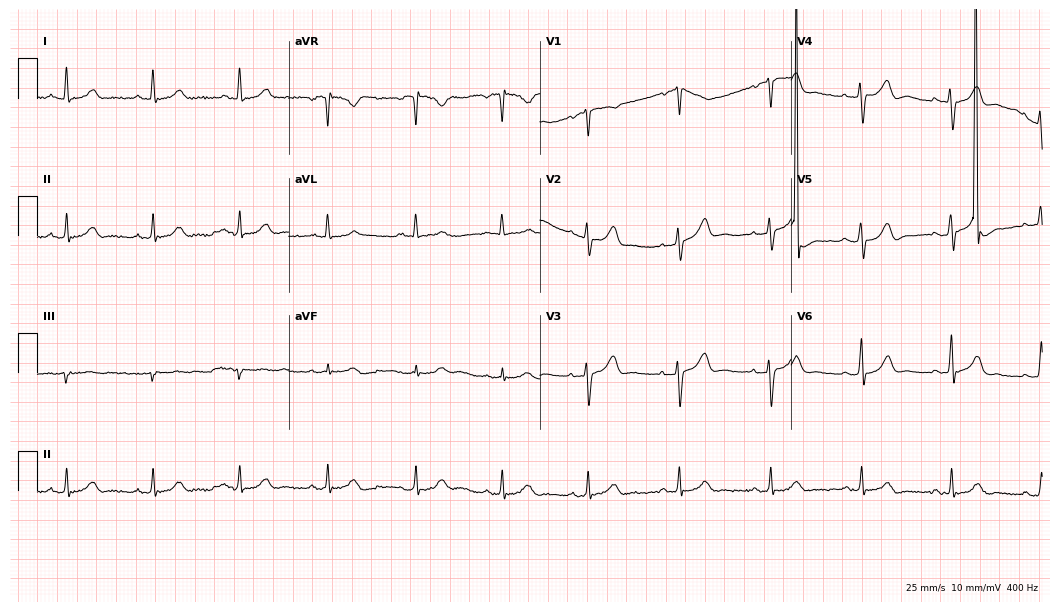
Standard 12-lead ECG recorded from a woman, 43 years old (10.2-second recording at 400 Hz). None of these six findings is recorded: first-degree AV block, right bundle branch block, left bundle branch block, sinus bradycardia, atrial fibrillation, sinus tachycardia. Other findings, if any, are not listed.